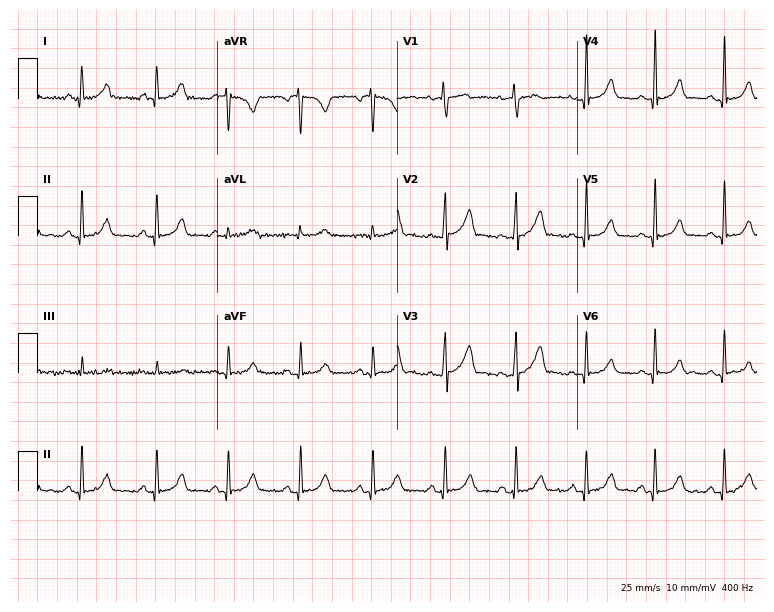
ECG (7.3-second recording at 400 Hz) — a woman, 31 years old. Labelled as a normal ECG.